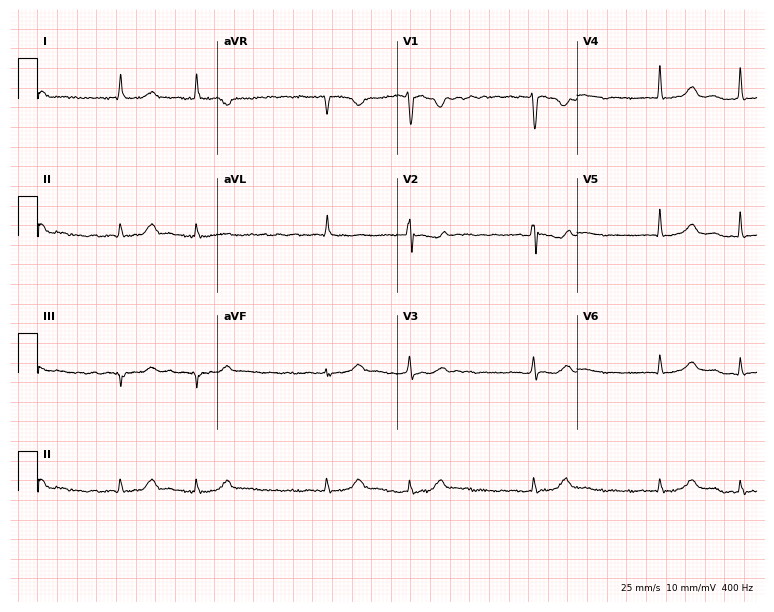
ECG — a 42-year-old female. Findings include atrial fibrillation (AF).